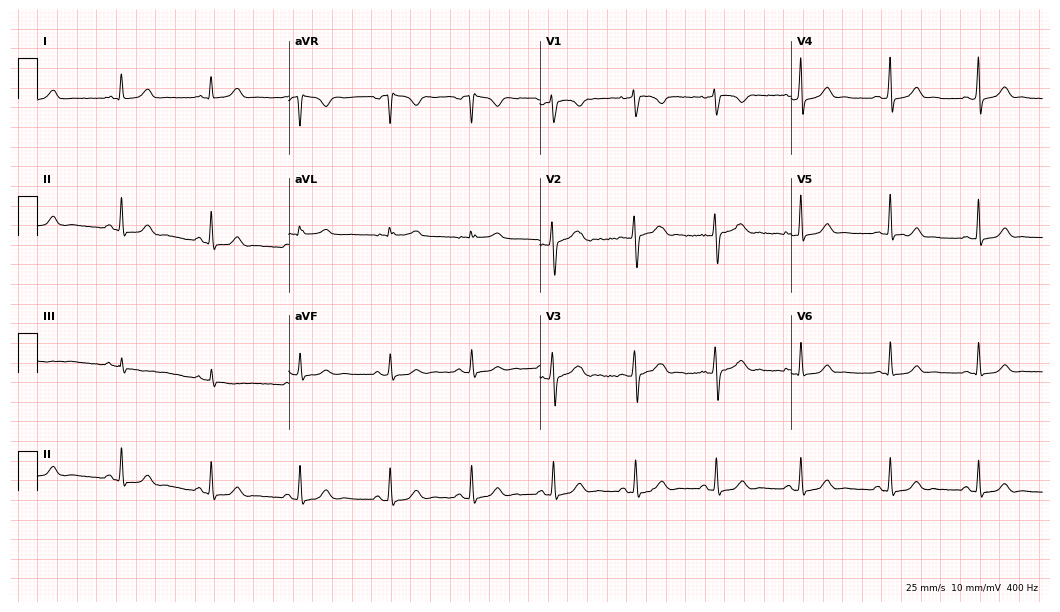
ECG — a 22-year-old female. Labelled as a normal ECG.